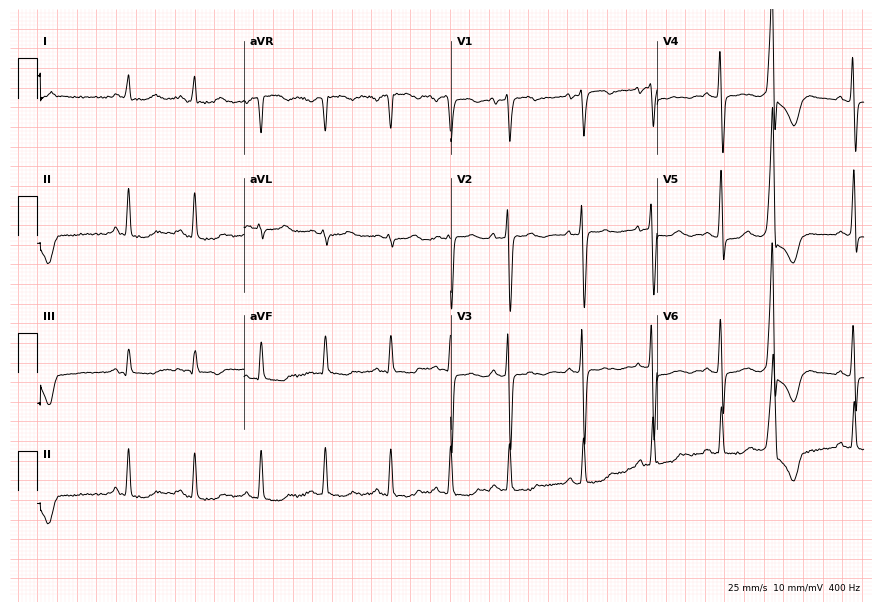
Resting 12-lead electrocardiogram. Patient: a woman, 59 years old. None of these six findings is recorded: first-degree AV block, right bundle branch block, left bundle branch block, sinus bradycardia, atrial fibrillation, sinus tachycardia.